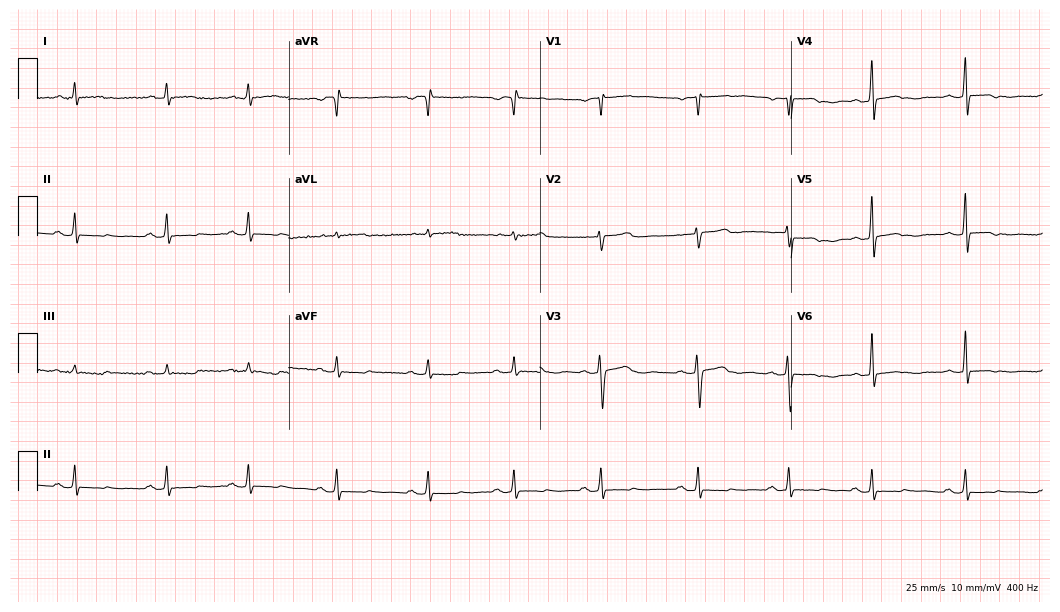
ECG — a 44-year-old woman. Screened for six findings — first-degree AV block, right bundle branch block, left bundle branch block, sinus bradycardia, atrial fibrillation, sinus tachycardia — none is recorded.